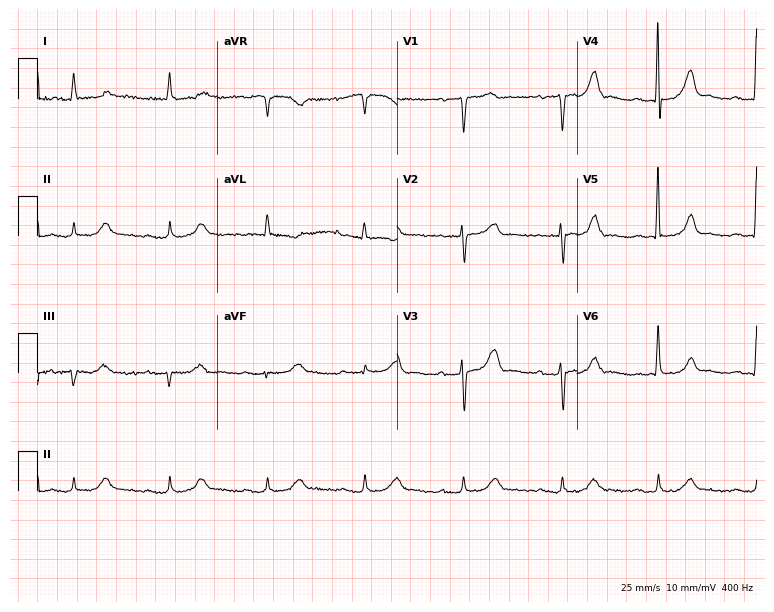
Electrocardiogram (7.3-second recording at 400 Hz), an 83-year-old female. Interpretation includes first-degree AV block.